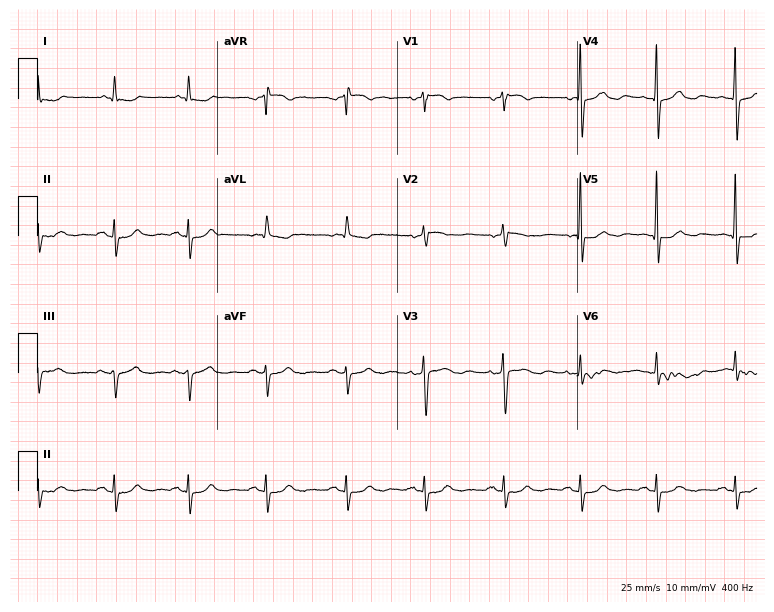
Electrocardiogram (7.3-second recording at 400 Hz), an 84-year-old male patient. Of the six screened findings (first-degree AV block, right bundle branch block (RBBB), left bundle branch block (LBBB), sinus bradycardia, atrial fibrillation (AF), sinus tachycardia), none is recorded. Other findings, if any, are not listed.